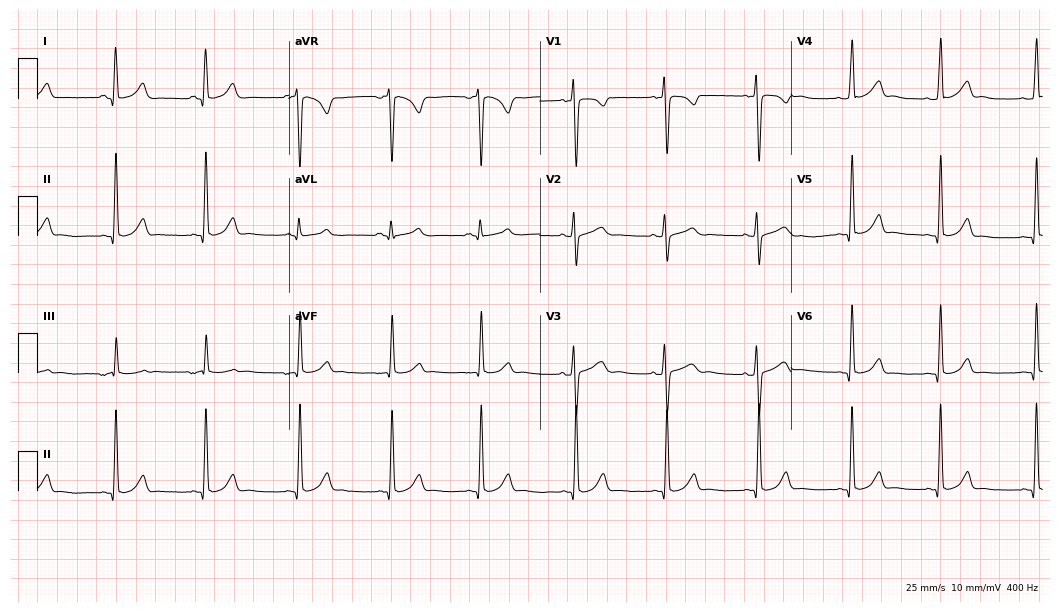
Electrocardiogram (10.2-second recording at 400 Hz), a 22-year-old woman. Overall reading on record: normal ECG.